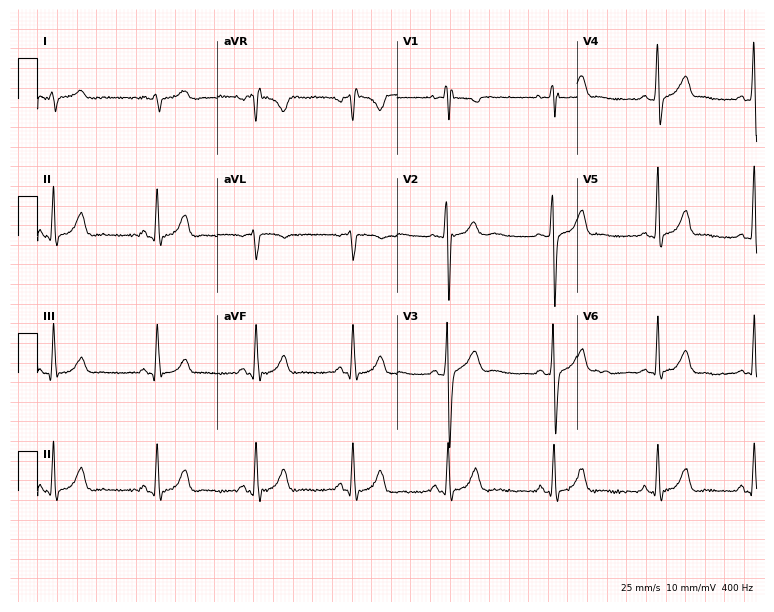
12-lead ECG (7.3-second recording at 400 Hz) from a male patient, 22 years old. Screened for six findings — first-degree AV block, right bundle branch block, left bundle branch block, sinus bradycardia, atrial fibrillation, sinus tachycardia — none is recorded. Other findings, if any, are not listed.